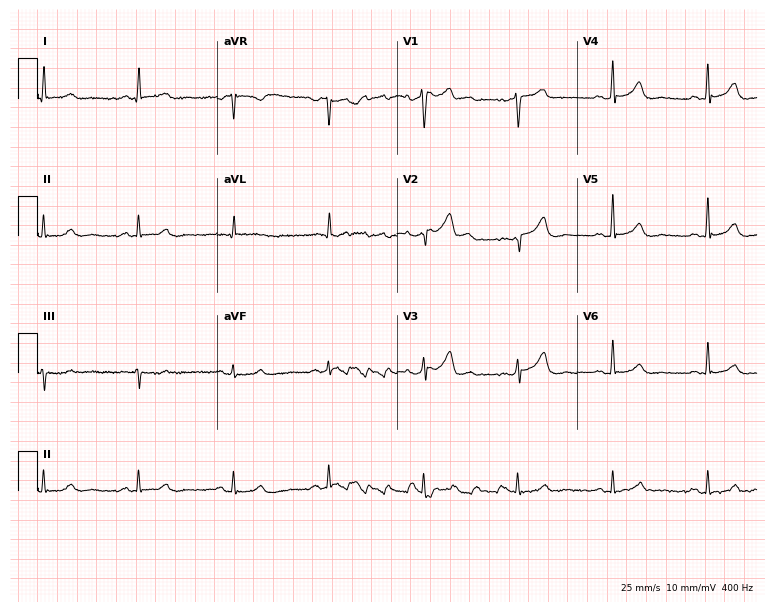
12-lead ECG from a woman, 64 years old (7.3-second recording at 400 Hz). Recorded interpretation: within normal limits.